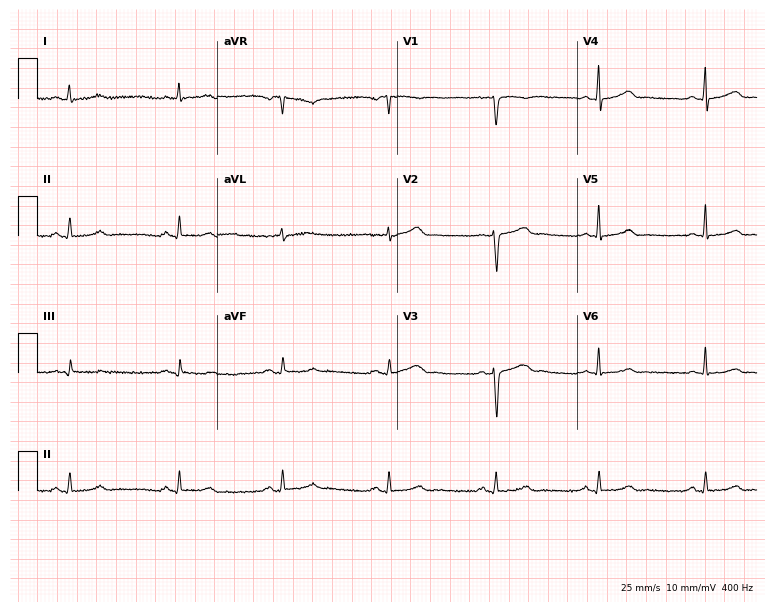
ECG — a female patient, 39 years old. Labelled as a normal ECG.